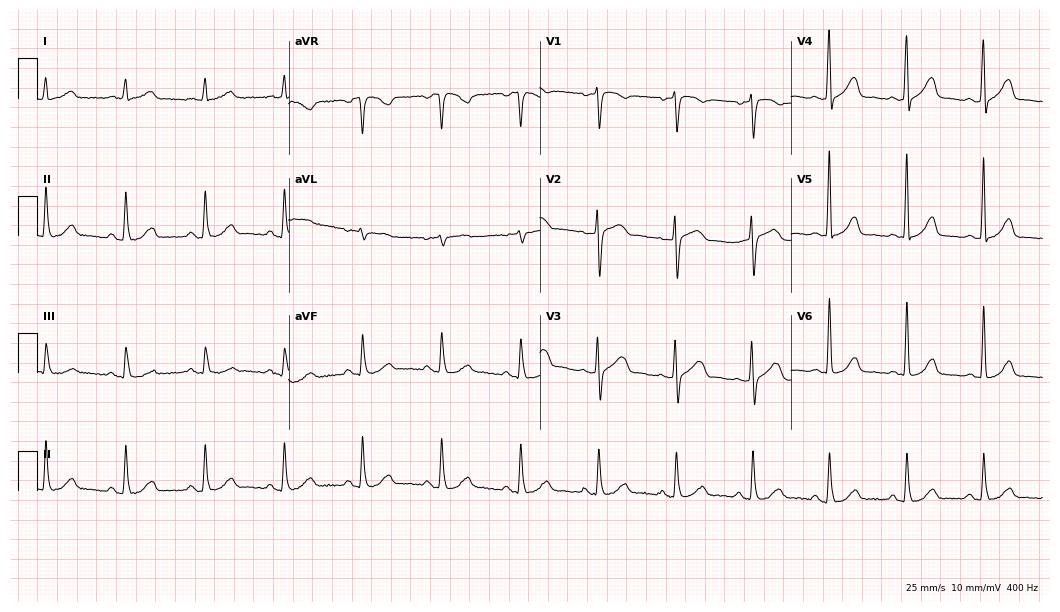
Resting 12-lead electrocardiogram (10.2-second recording at 400 Hz). Patient: a woman, 75 years old. Read as a normal ECG.